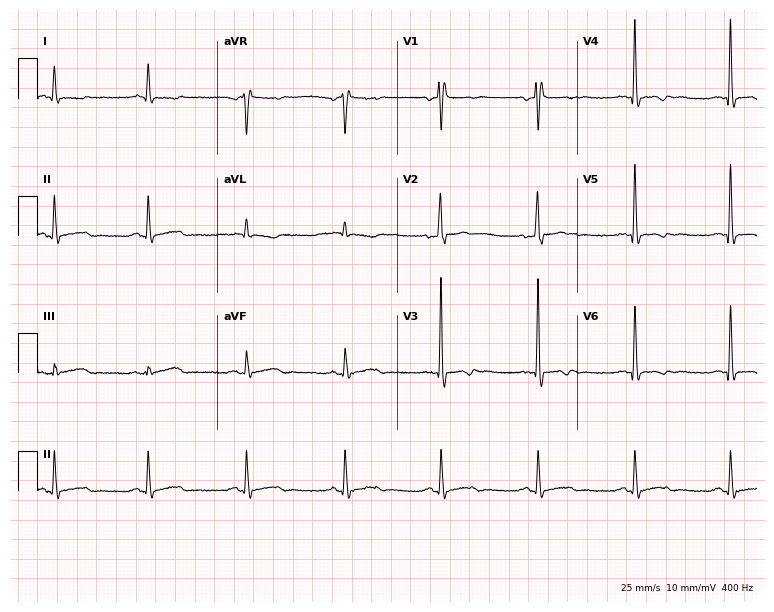
Electrocardiogram, a male, 60 years old. Of the six screened findings (first-degree AV block, right bundle branch block (RBBB), left bundle branch block (LBBB), sinus bradycardia, atrial fibrillation (AF), sinus tachycardia), none is recorded.